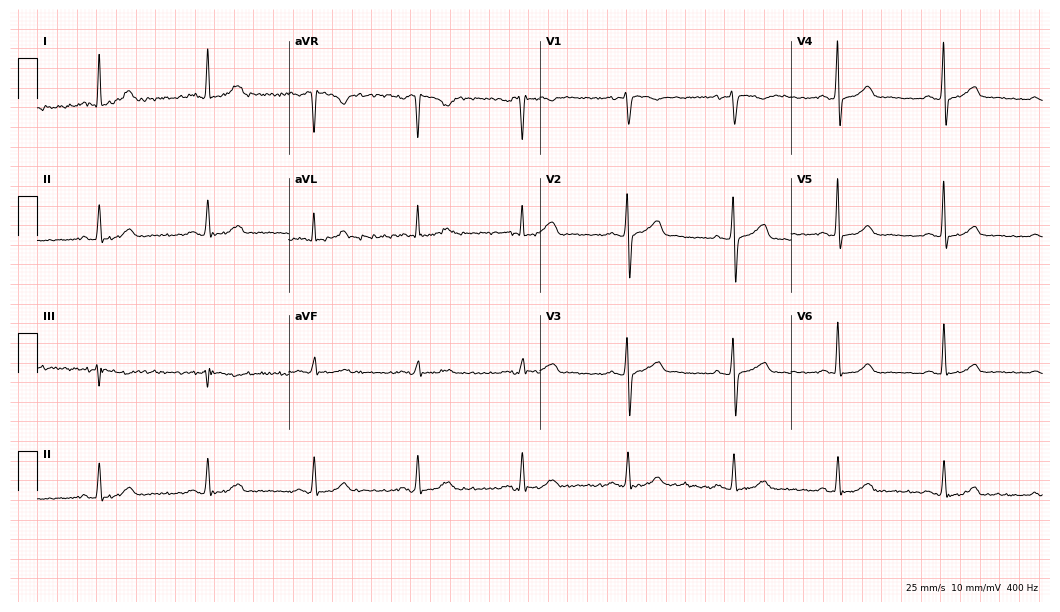
12-lead ECG from a female patient, 49 years old. Recorded interpretation: within normal limits.